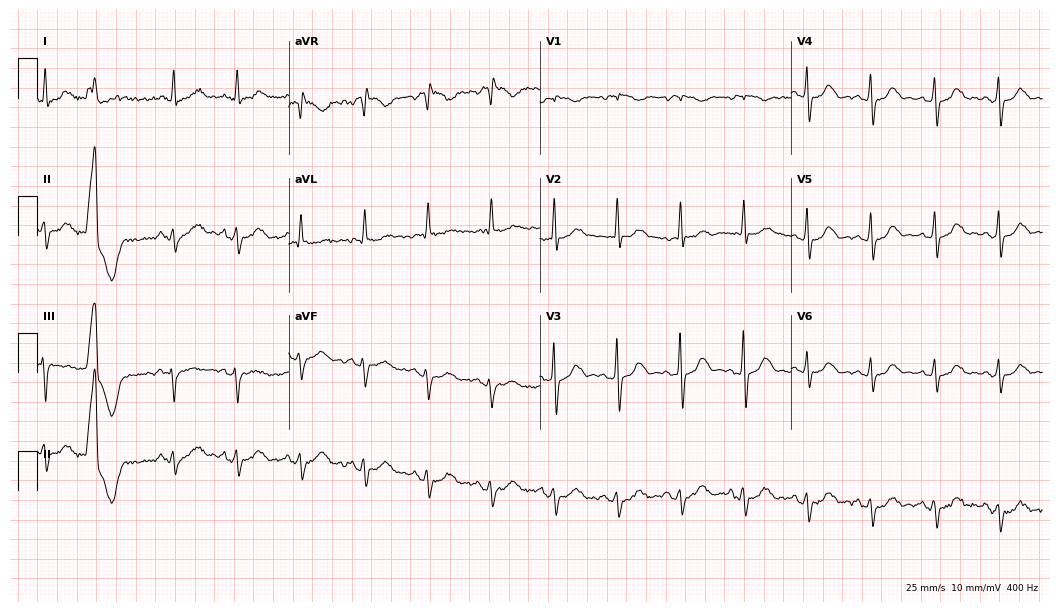
12-lead ECG (10.2-second recording at 400 Hz) from a 71-year-old female. Screened for six findings — first-degree AV block, right bundle branch block, left bundle branch block, sinus bradycardia, atrial fibrillation, sinus tachycardia — none is recorded. Other findings, if any, are not listed.